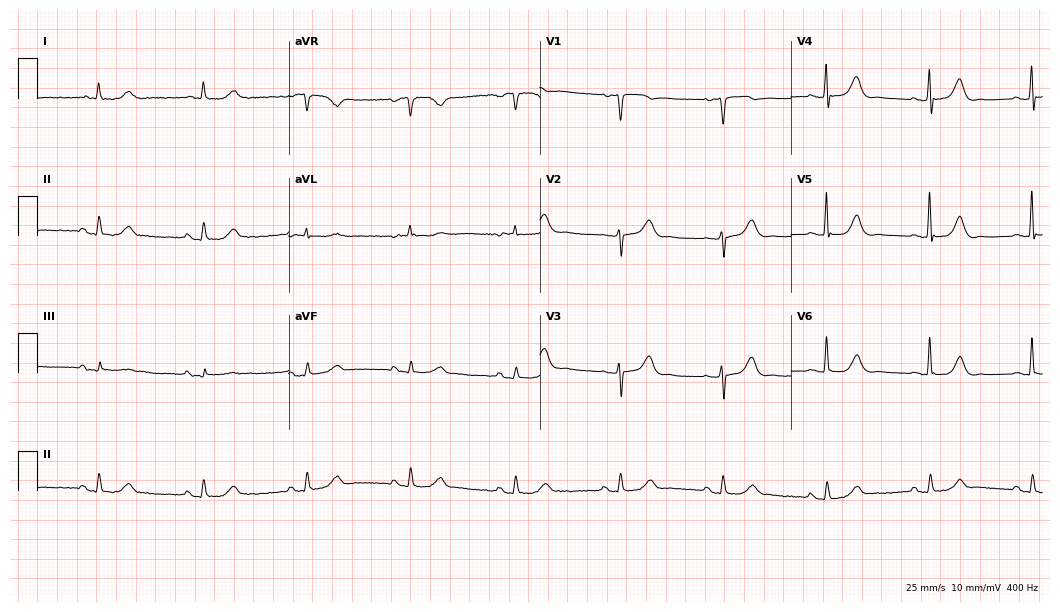
12-lead ECG from an 85-year-old woman. Screened for six findings — first-degree AV block, right bundle branch block (RBBB), left bundle branch block (LBBB), sinus bradycardia, atrial fibrillation (AF), sinus tachycardia — none is recorded.